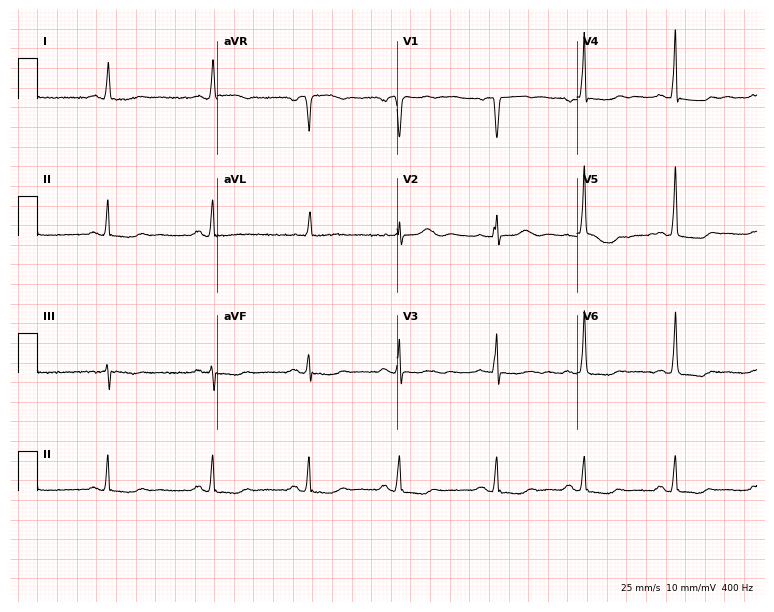
12-lead ECG from a 79-year-old woman. No first-degree AV block, right bundle branch block, left bundle branch block, sinus bradycardia, atrial fibrillation or sinus tachycardia recorded for this tracing. Other findings, if any, are not listed.